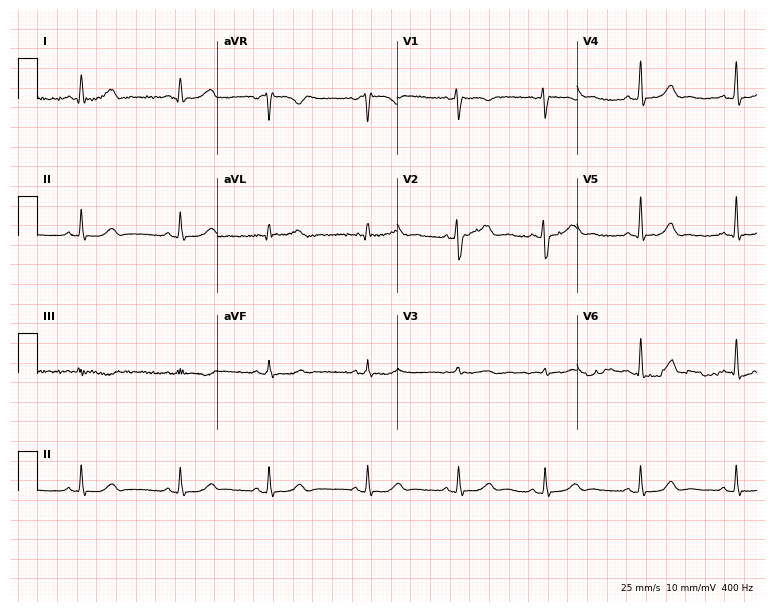
Resting 12-lead electrocardiogram. Patient: a 26-year-old female. None of these six findings is recorded: first-degree AV block, right bundle branch block, left bundle branch block, sinus bradycardia, atrial fibrillation, sinus tachycardia.